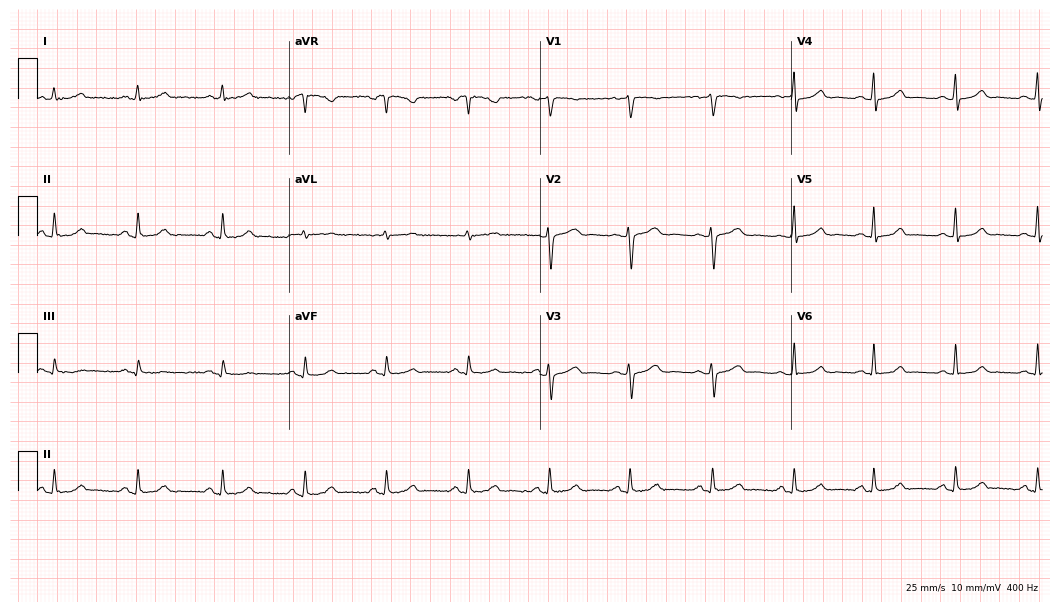
Electrocardiogram (10.2-second recording at 400 Hz), a female, 45 years old. Overall reading on record: normal ECG.